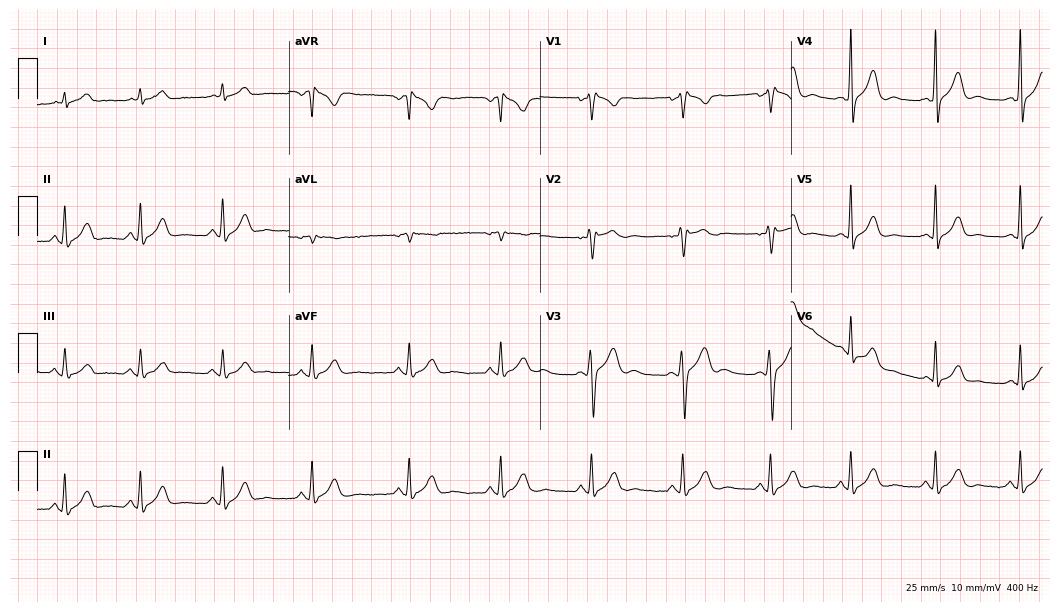
Electrocardiogram, a man, 48 years old. Of the six screened findings (first-degree AV block, right bundle branch block (RBBB), left bundle branch block (LBBB), sinus bradycardia, atrial fibrillation (AF), sinus tachycardia), none is recorded. Other findings, if any, are not listed.